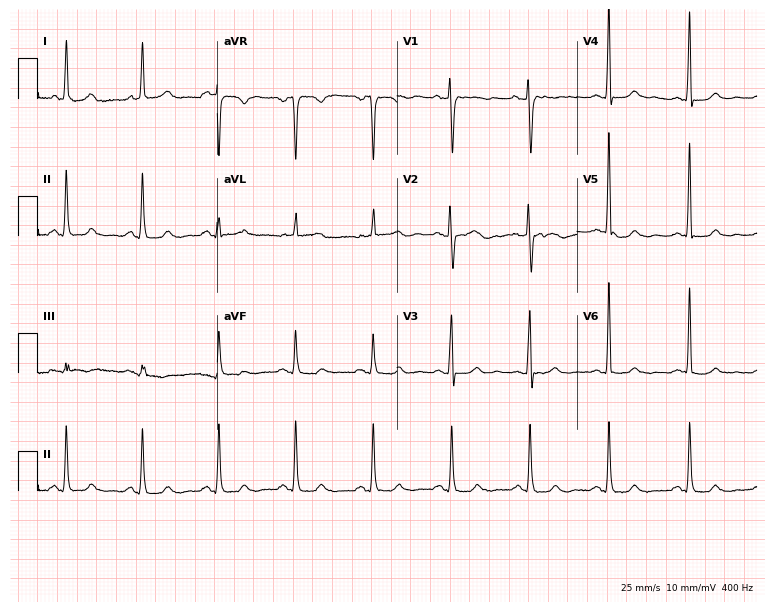
Resting 12-lead electrocardiogram (7.3-second recording at 400 Hz). Patient: a 60-year-old woman. Read as a normal ECG.